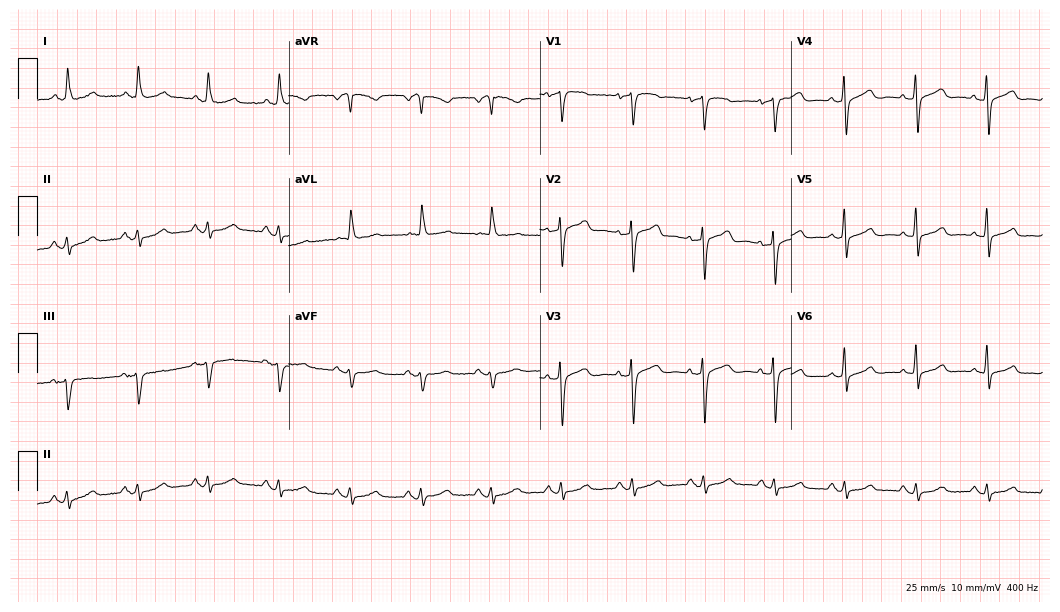
12-lead ECG (10.2-second recording at 400 Hz) from a female patient, 72 years old. Screened for six findings — first-degree AV block, right bundle branch block, left bundle branch block, sinus bradycardia, atrial fibrillation, sinus tachycardia — none is recorded.